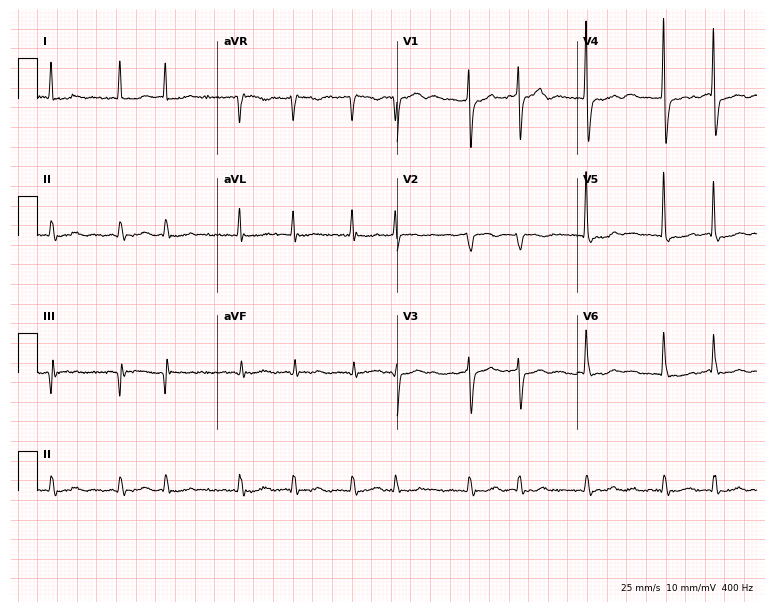
12-lead ECG (7.3-second recording at 400 Hz) from a male, 75 years old. Findings include atrial fibrillation.